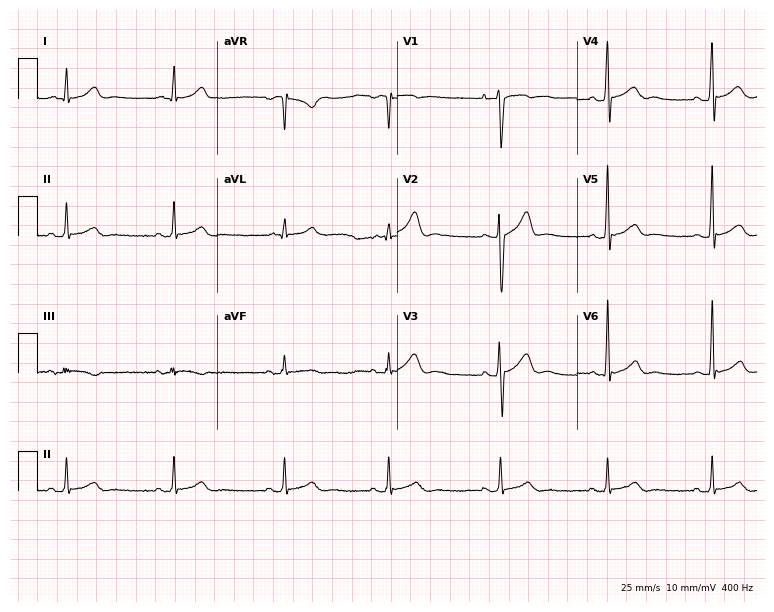
ECG (7.3-second recording at 400 Hz) — a 27-year-old male. Labelled as a normal ECG.